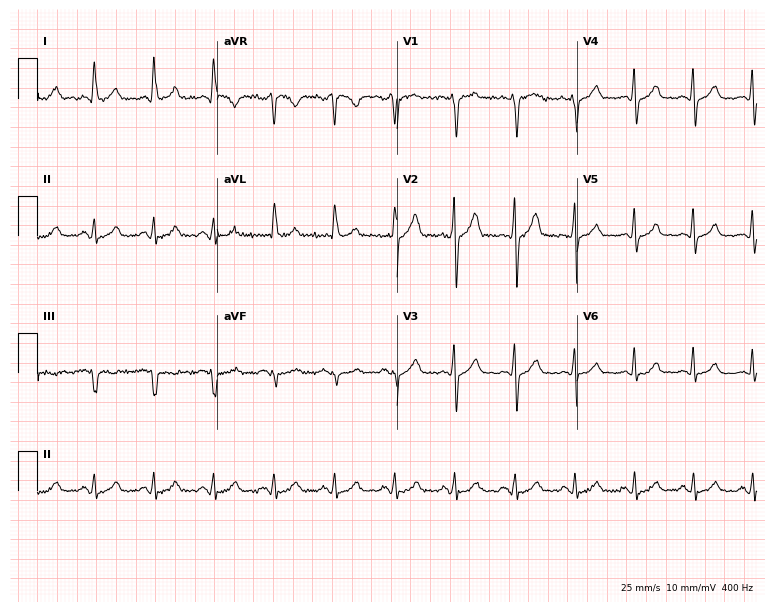
ECG — a man, 50 years old. Screened for six findings — first-degree AV block, right bundle branch block (RBBB), left bundle branch block (LBBB), sinus bradycardia, atrial fibrillation (AF), sinus tachycardia — none is recorded. Findings outside these six are not listed.